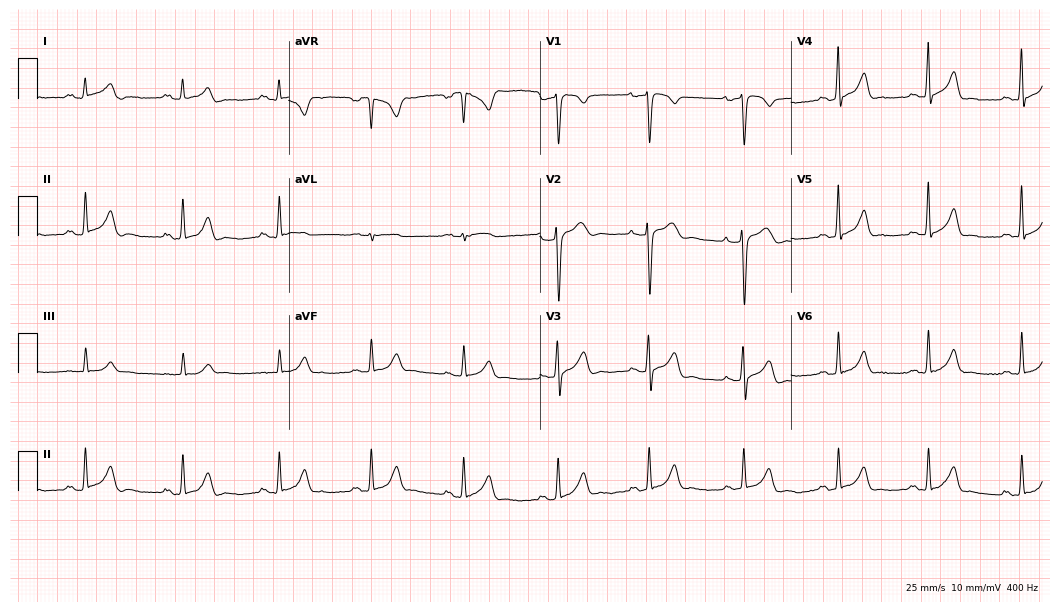
ECG — a male patient, 31 years old. Screened for six findings — first-degree AV block, right bundle branch block, left bundle branch block, sinus bradycardia, atrial fibrillation, sinus tachycardia — none is recorded.